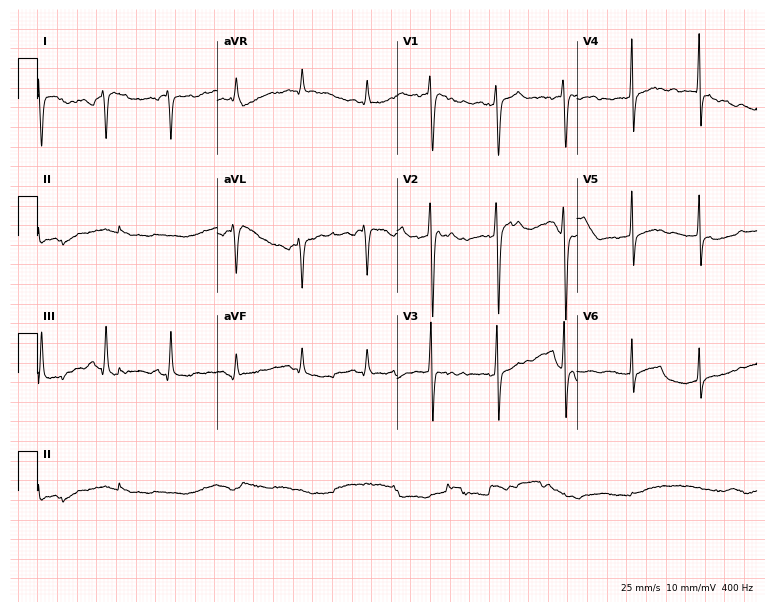
Electrocardiogram (7.3-second recording at 400 Hz), a 52-year-old woman. Of the six screened findings (first-degree AV block, right bundle branch block (RBBB), left bundle branch block (LBBB), sinus bradycardia, atrial fibrillation (AF), sinus tachycardia), none is recorded. Other findings, if any, are not listed.